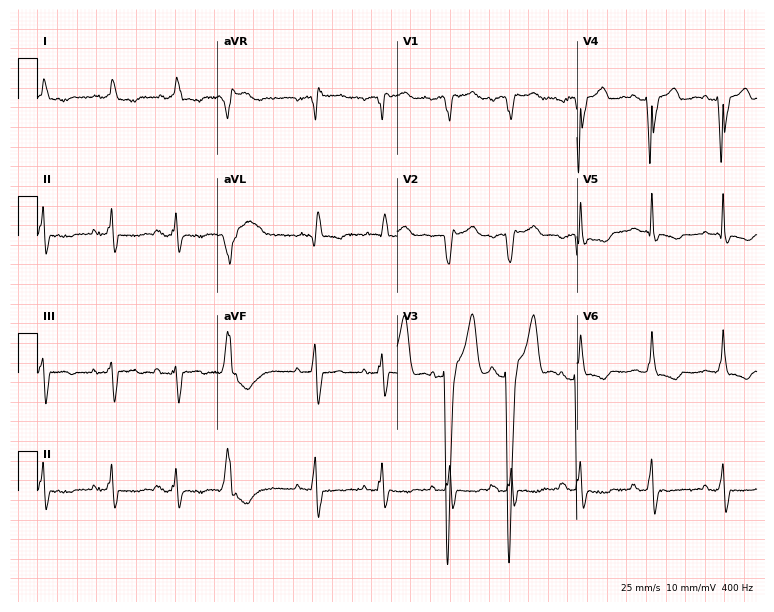
ECG — a female patient, 80 years old. Findings include left bundle branch block.